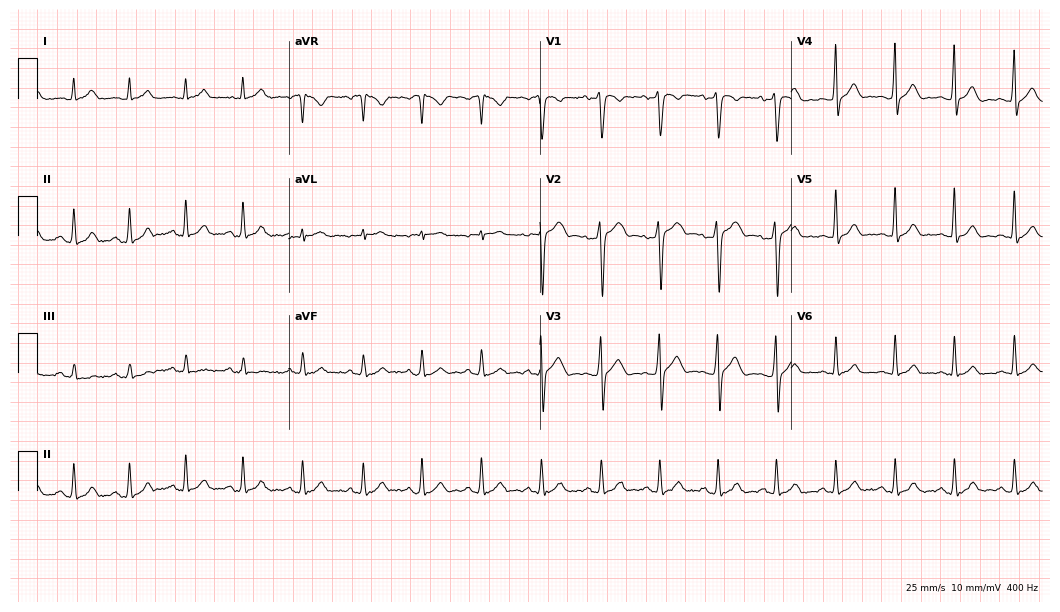
Resting 12-lead electrocardiogram (10.2-second recording at 400 Hz). Patient: a female, 25 years old. Read as a normal ECG.